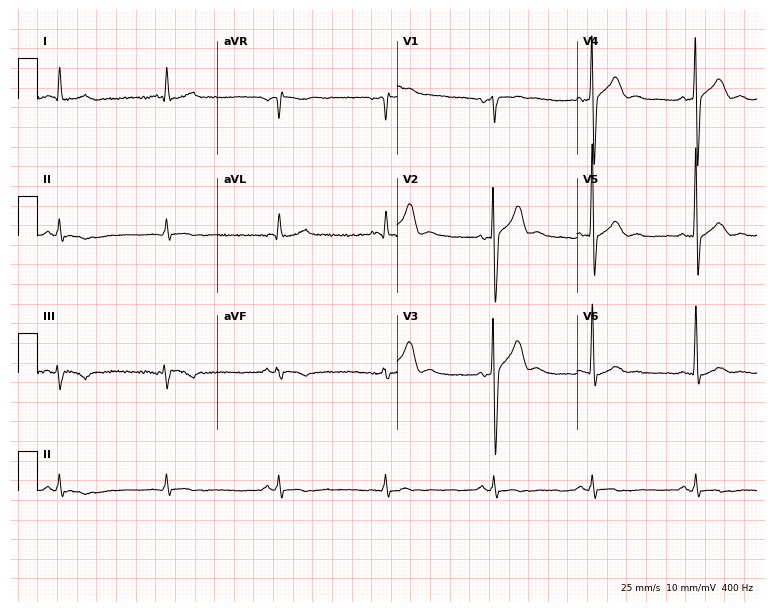
12-lead ECG from a male, 44 years old (7.3-second recording at 400 Hz). No first-degree AV block, right bundle branch block, left bundle branch block, sinus bradycardia, atrial fibrillation or sinus tachycardia recorded for this tracing. Only these six findings were labelled.